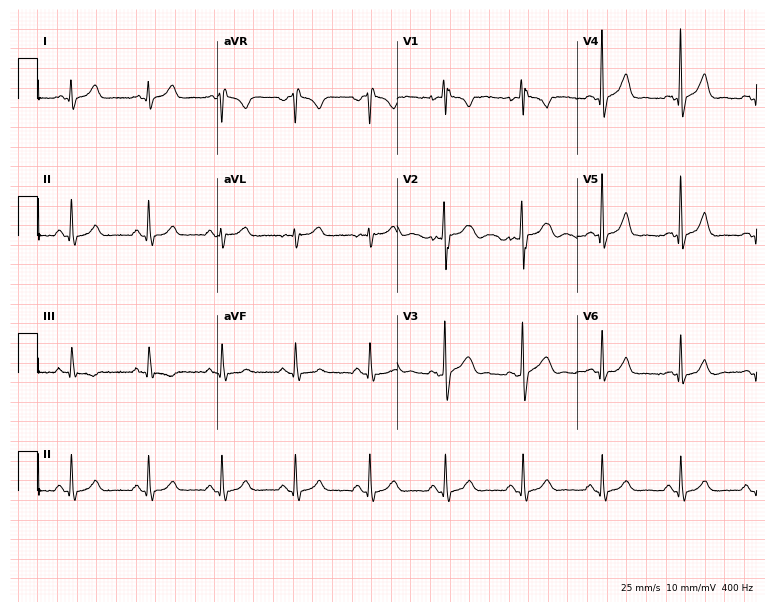
12-lead ECG from a 33-year-old male patient. Screened for six findings — first-degree AV block, right bundle branch block (RBBB), left bundle branch block (LBBB), sinus bradycardia, atrial fibrillation (AF), sinus tachycardia — none is recorded.